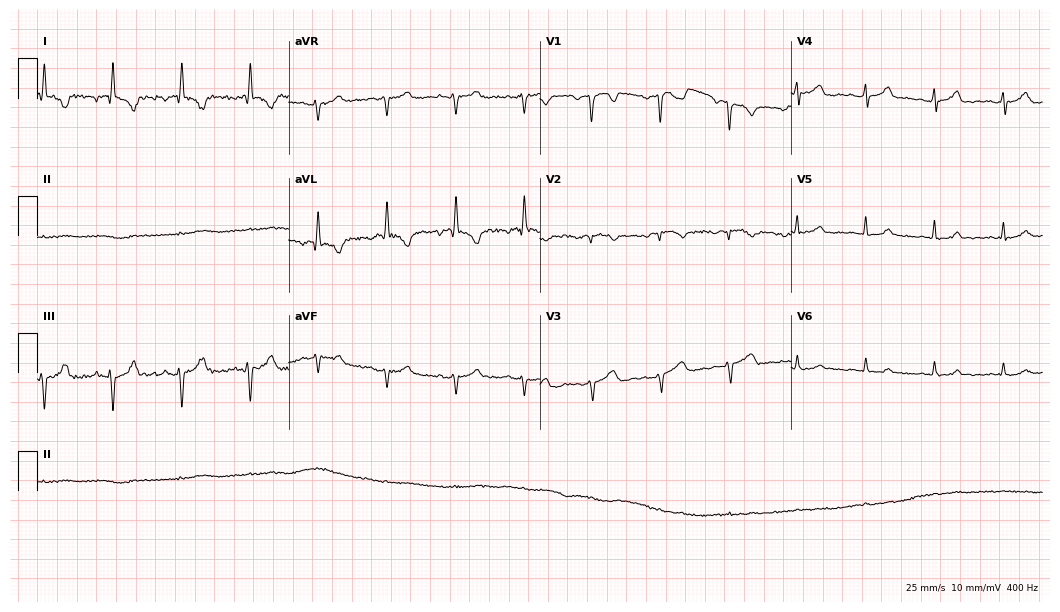
Resting 12-lead electrocardiogram. Patient: a 61-year-old female. None of these six findings is recorded: first-degree AV block, right bundle branch block, left bundle branch block, sinus bradycardia, atrial fibrillation, sinus tachycardia.